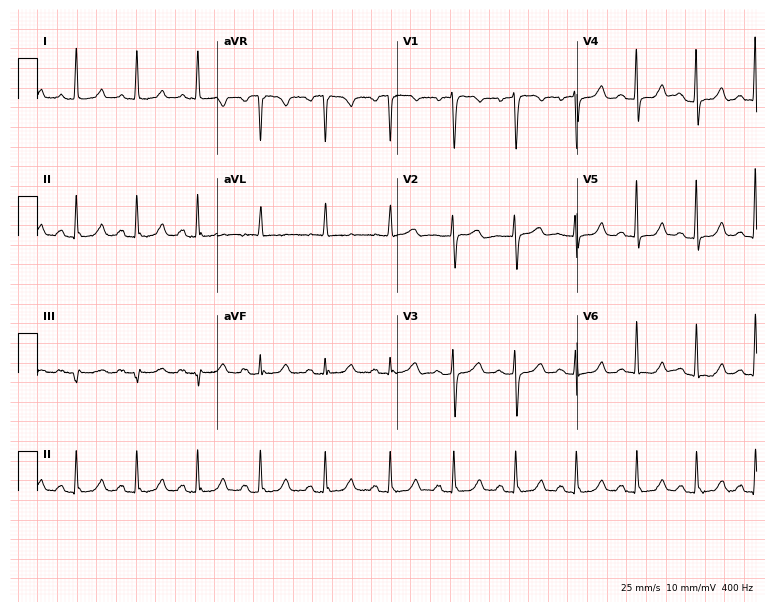
12-lead ECG from a 56-year-old female (7.3-second recording at 400 Hz). Recorded interpretation: within normal limits.